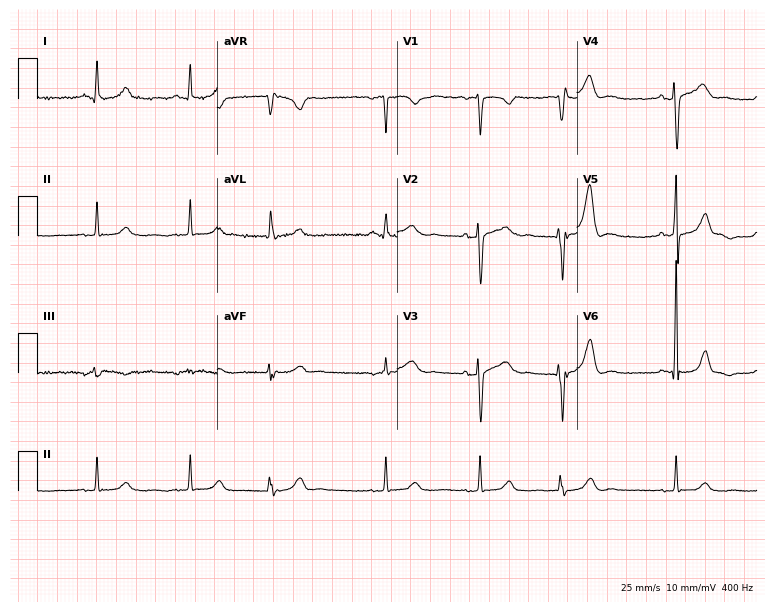
Standard 12-lead ECG recorded from a 60-year-old female patient (7.3-second recording at 400 Hz). None of these six findings is recorded: first-degree AV block, right bundle branch block, left bundle branch block, sinus bradycardia, atrial fibrillation, sinus tachycardia.